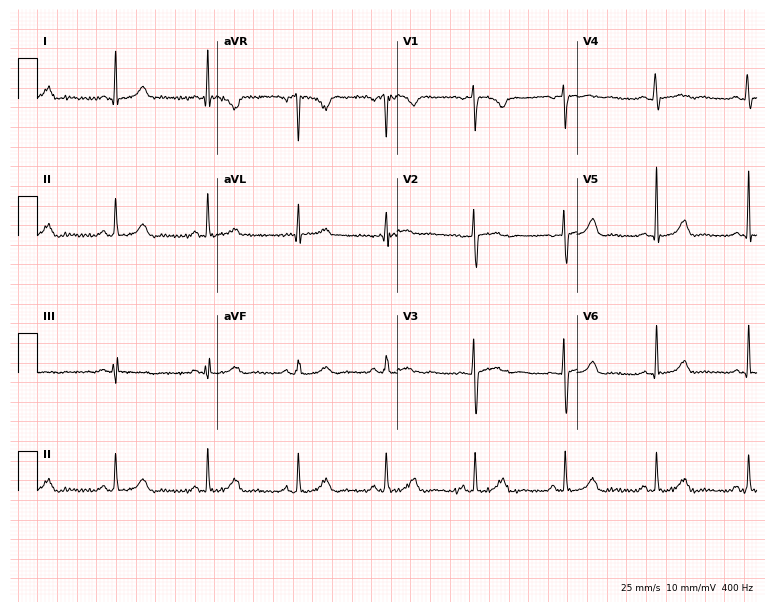
12-lead ECG (7.3-second recording at 400 Hz) from a 26-year-old woman. Labelled as a normal ECG.